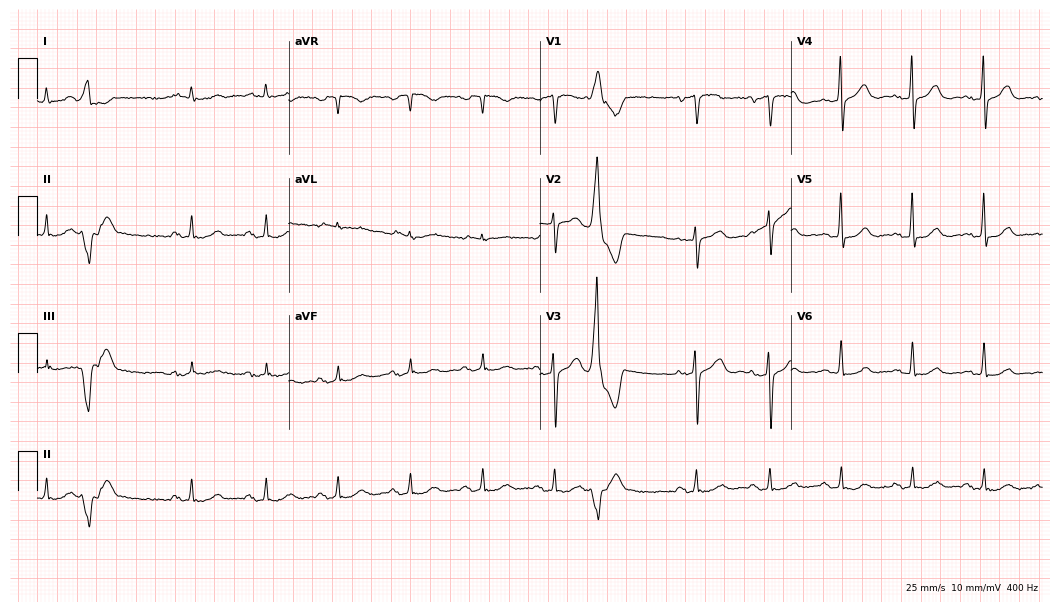
Electrocardiogram, a male patient, 73 years old. Overall reading on record: normal ECG.